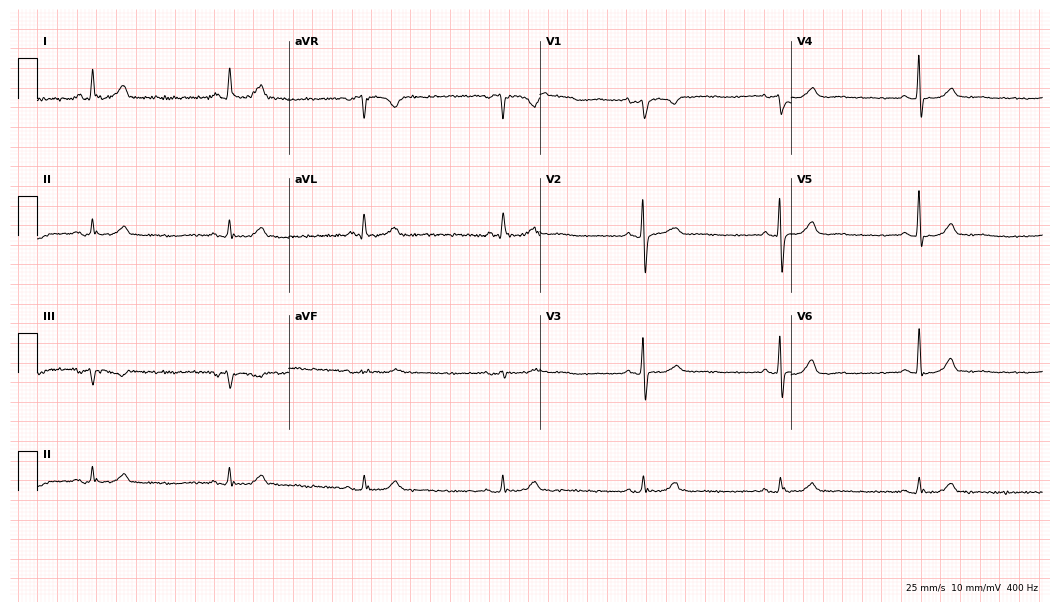
ECG — a man, 80 years old. Findings include sinus bradycardia (a sinus rate of 50 beats per minute or less).